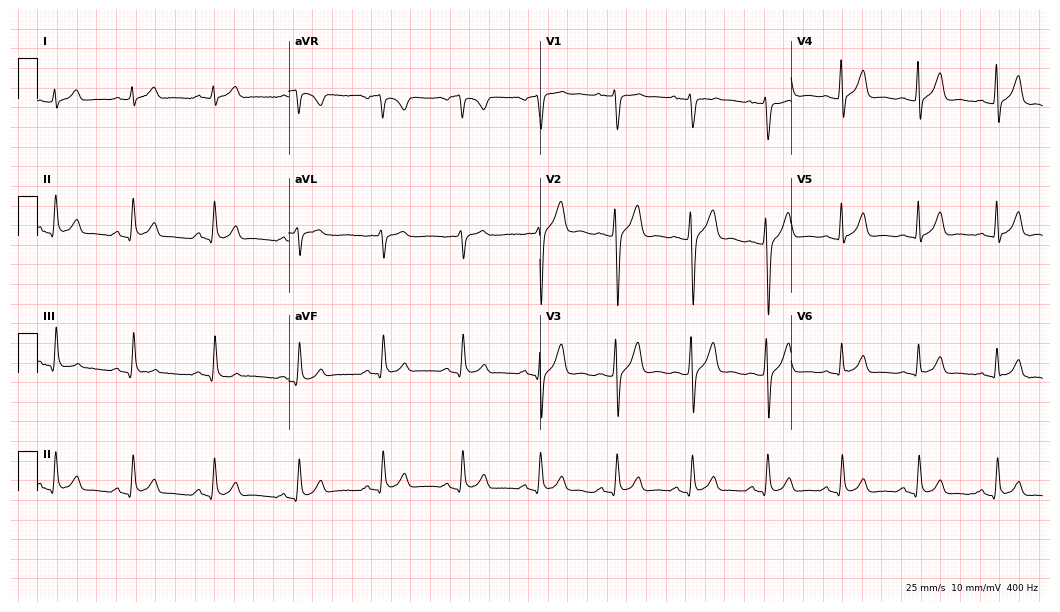
Resting 12-lead electrocardiogram. Patient: a 25-year-old man. None of these six findings is recorded: first-degree AV block, right bundle branch block (RBBB), left bundle branch block (LBBB), sinus bradycardia, atrial fibrillation (AF), sinus tachycardia. Other findings, if any, are not listed.